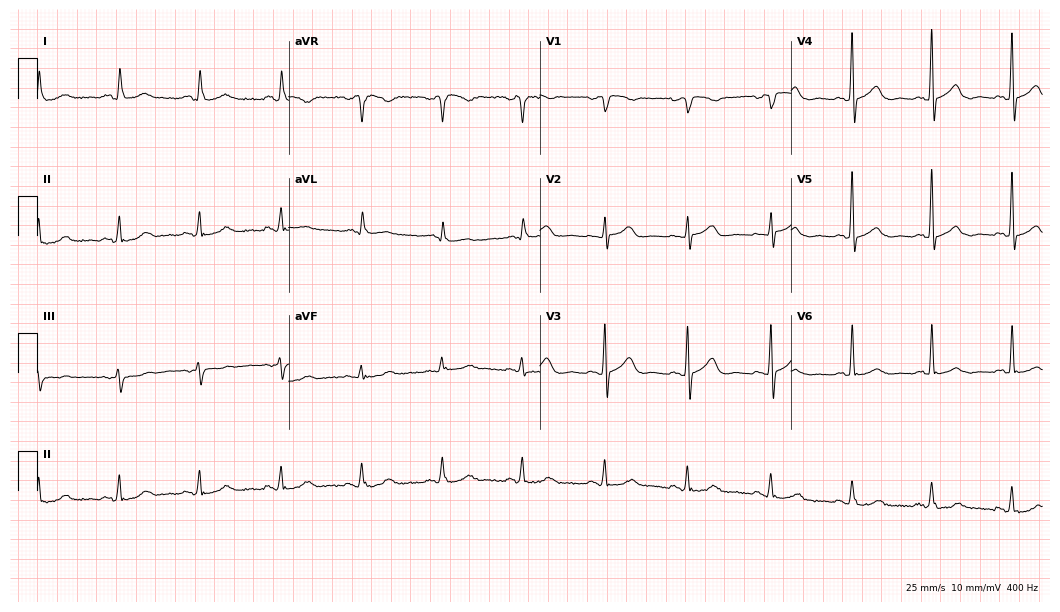
Resting 12-lead electrocardiogram (10.2-second recording at 400 Hz). Patient: a woman, 53 years old. None of these six findings is recorded: first-degree AV block, right bundle branch block (RBBB), left bundle branch block (LBBB), sinus bradycardia, atrial fibrillation (AF), sinus tachycardia. Only these six findings were labelled.